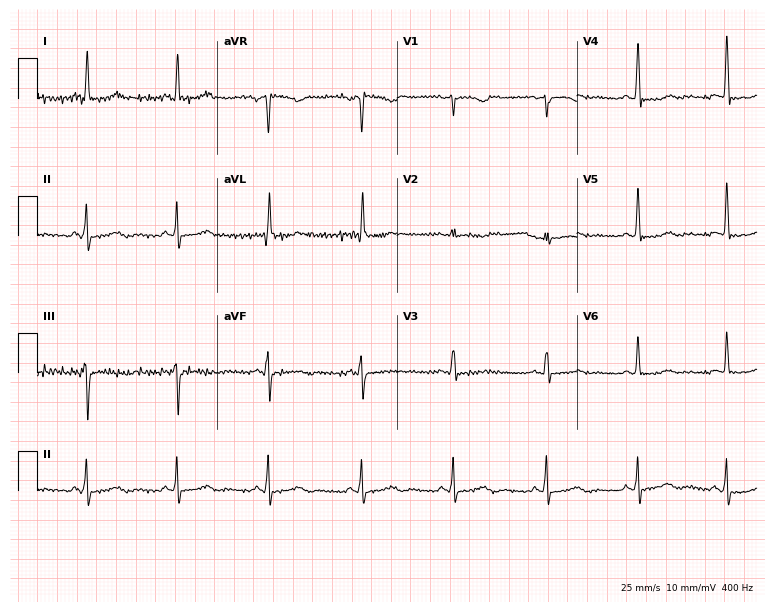
12-lead ECG (7.3-second recording at 400 Hz) from a 69-year-old female patient. Screened for six findings — first-degree AV block, right bundle branch block, left bundle branch block, sinus bradycardia, atrial fibrillation, sinus tachycardia — none is recorded. Findings outside these six are not listed.